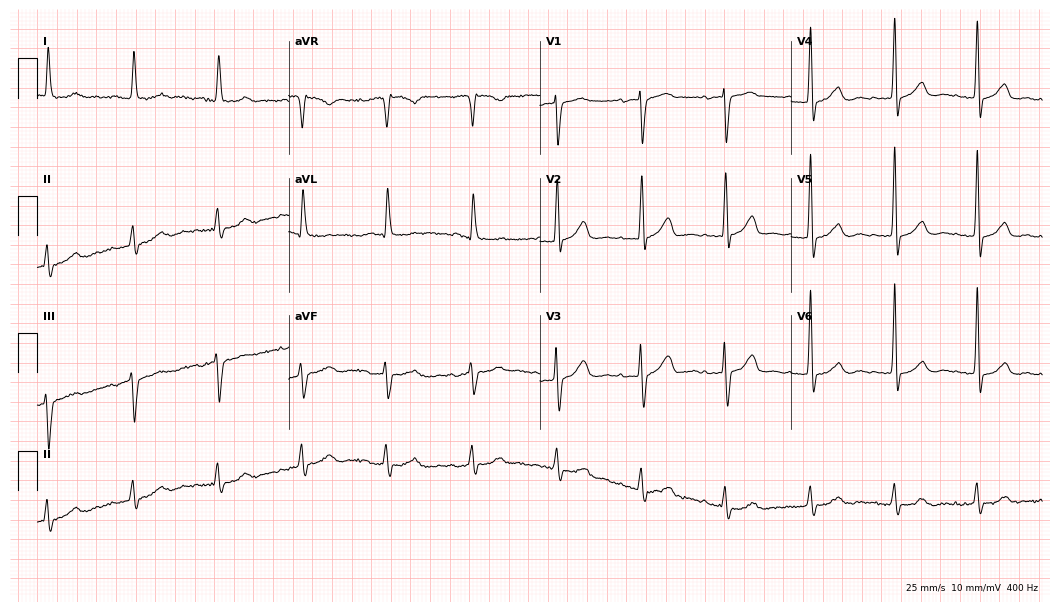
Standard 12-lead ECG recorded from an 85-year-old woman (10.2-second recording at 400 Hz). Read as a normal ECG.